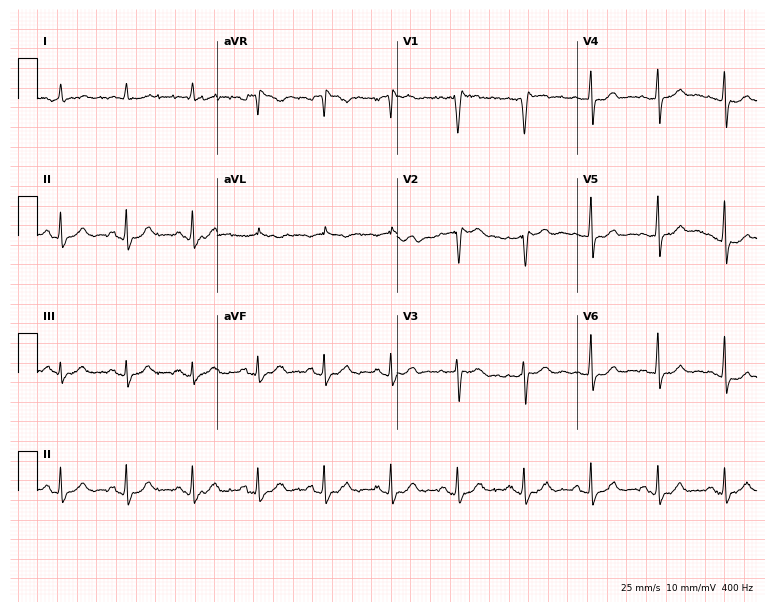
12-lead ECG from a male, 67 years old. No first-degree AV block, right bundle branch block, left bundle branch block, sinus bradycardia, atrial fibrillation or sinus tachycardia recorded for this tracing.